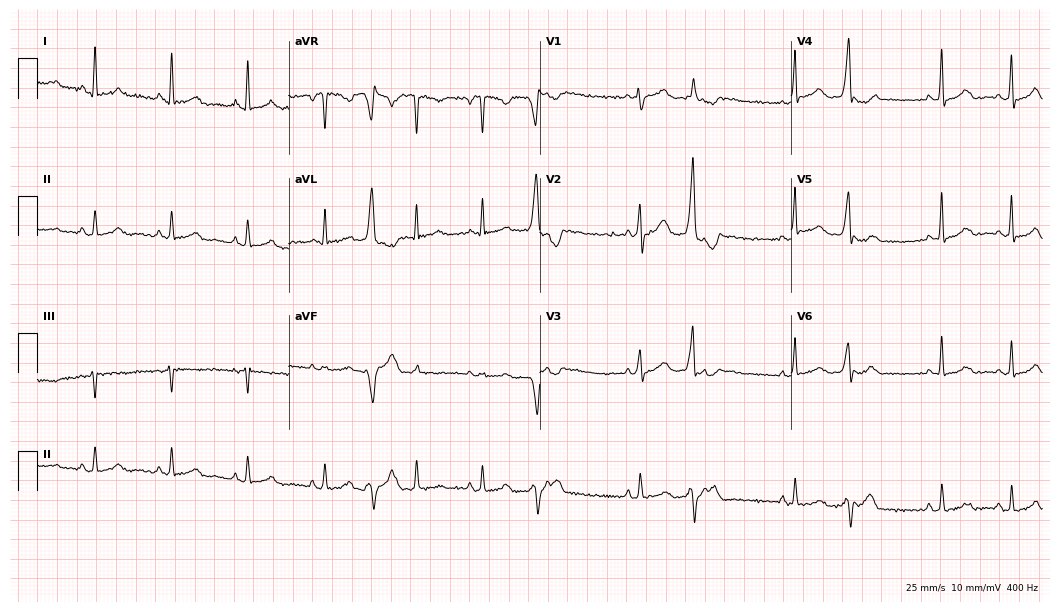
12-lead ECG from a 57-year-old woman. Screened for six findings — first-degree AV block, right bundle branch block (RBBB), left bundle branch block (LBBB), sinus bradycardia, atrial fibrillation (AF), sinus tachycardia — none is recorded. Only these six findings were labelled.